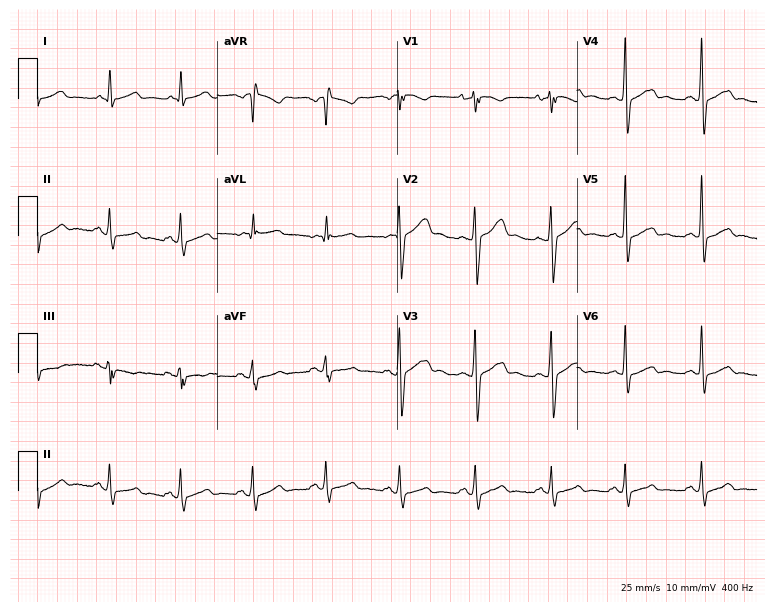
12-lead ECG from a 41-year-old man (7.3-second recording at 400 Hz). Recorded interpretation: within normal limits.